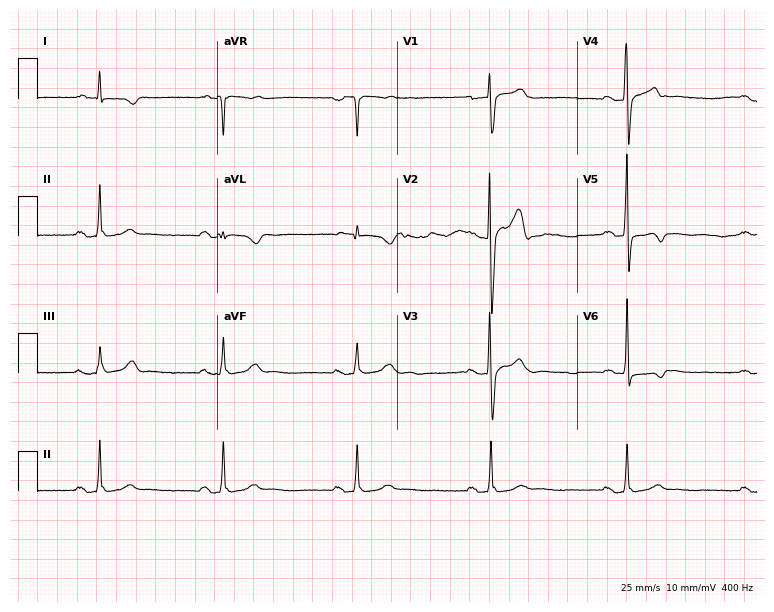
ECG (7.3-second recording at 400 Hz) — a 56-year-old male. Screened for six findings — first-degree AV block, right bundle branch block (RBBB), left bundle branch block (LBBB), sinus bradycardia, atrial fibrillation (AF), sinus tachycardia — none is recorded.